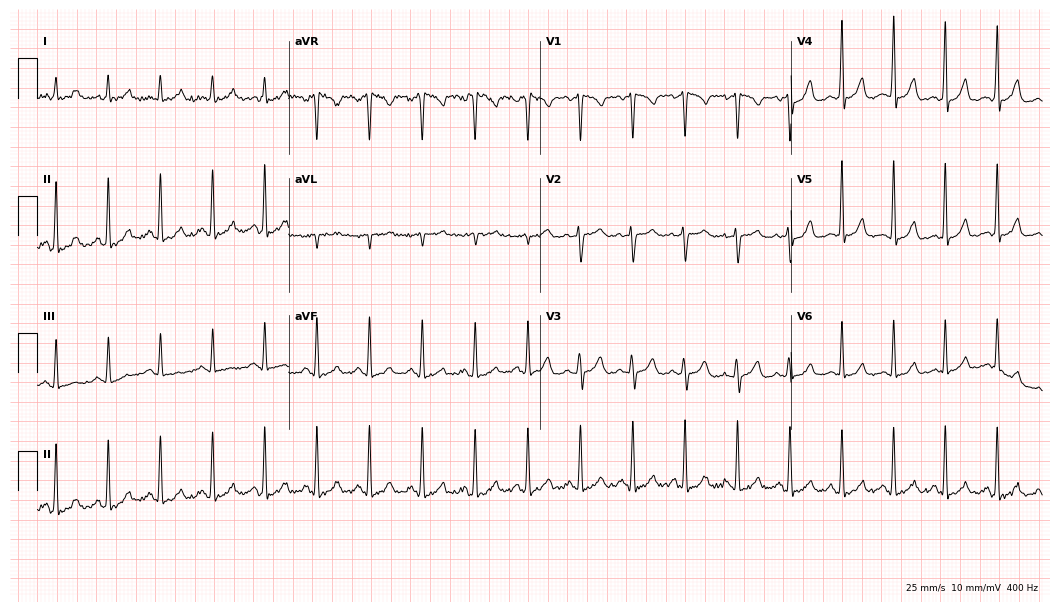
ECG (10.2-second recording at 400 Hz) — a woman, 29 years old. Findings include sinus tachycardia (a sinus rate of 100 beats per minute or more).